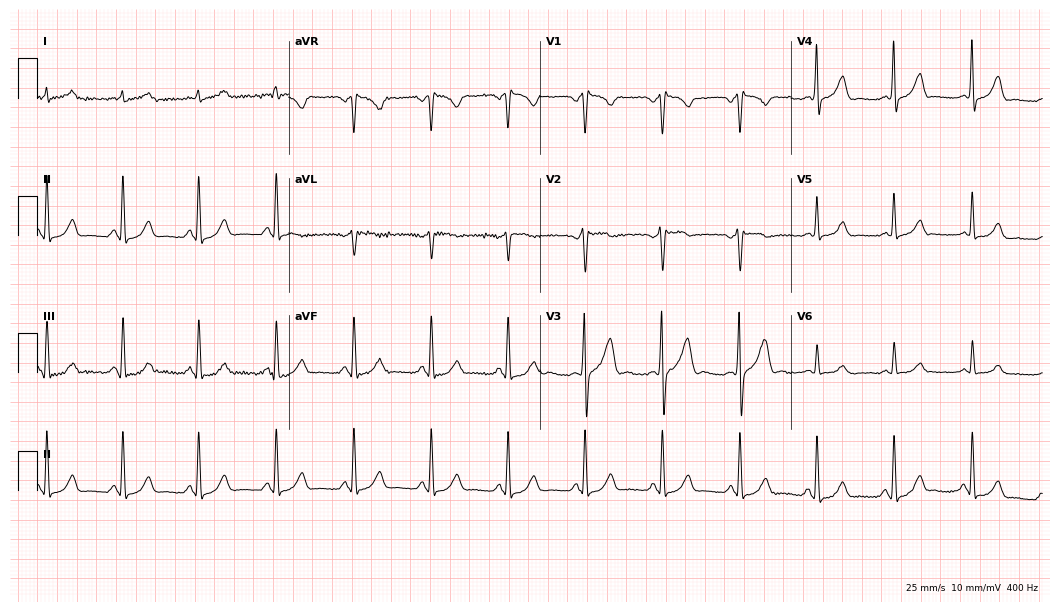
12-lead ECG from a male, 54 years old. Recorded interpretation: within normal limits.